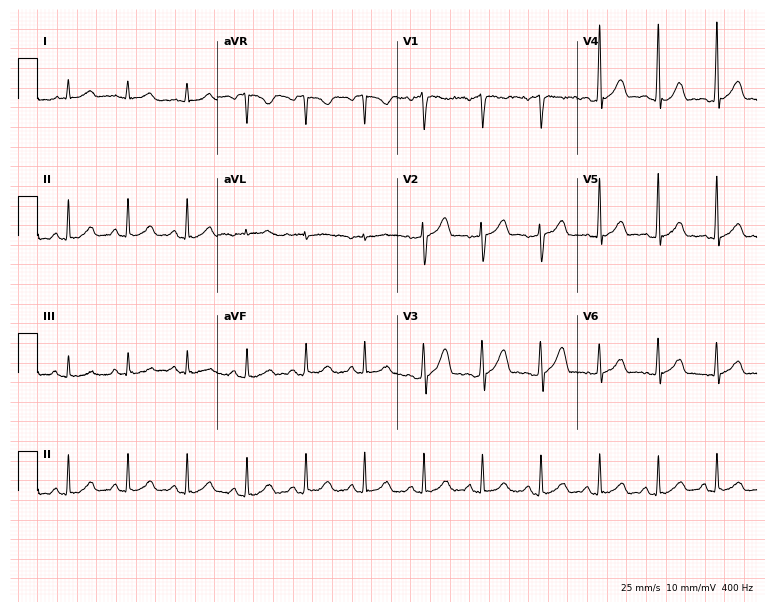
Electrocardiogram, a male patient, 42 years old. Overall reading on record: normal ECG.